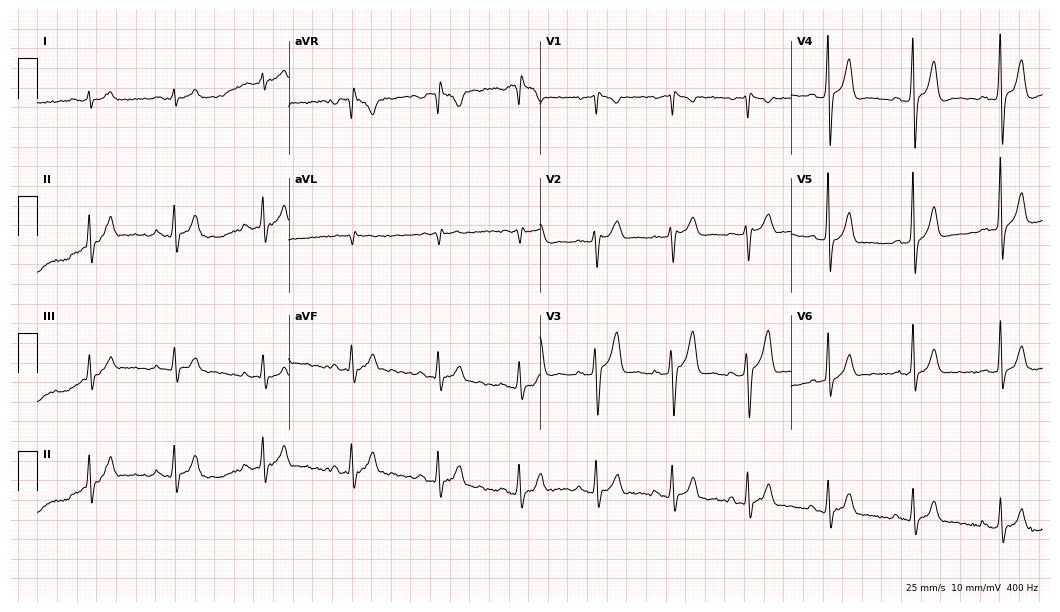
Electrocardiogram (10.2-second recording at 400 Hz), a male patient, 41 years old. Of the six screened findings (first-degree AV block, right bundle branch block (RBBB), left bundle branch block (LBBB), sinus bradycardia, atrial fibrillation (AF), sinus tachycardia), none is recorded.